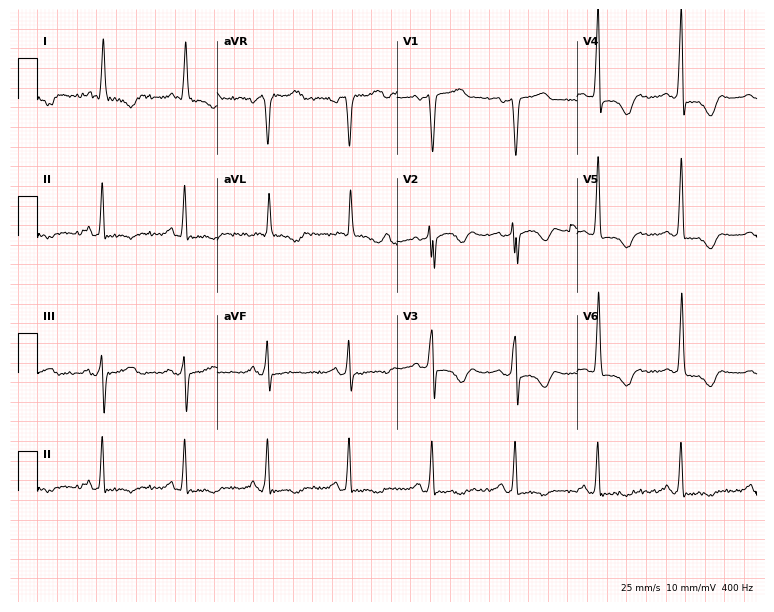
ECG (7.3-second recording at 400 Hz) — a man, 67 years old. Screened for six findings — first-degree AV block, right bundle branch block, left bundle branch block, sinus bradycardia, atrial fibrillation, sinus tachycardia — none is recorded.